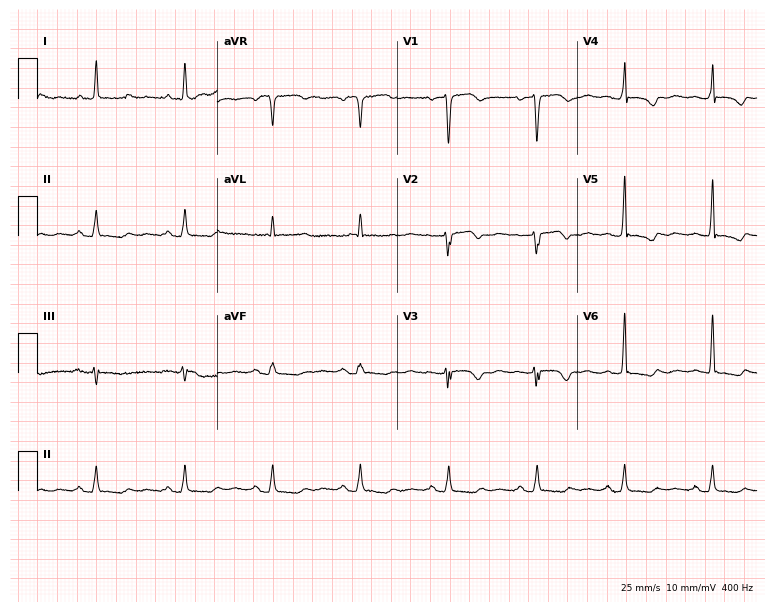
12-lead ECG from a female, 83 years old. No first-degree AV block, right bundle branch block, left bundle branch block, sinus bradycardia, atrial fibrillation or sinus tachycardia recorded for this tracing.